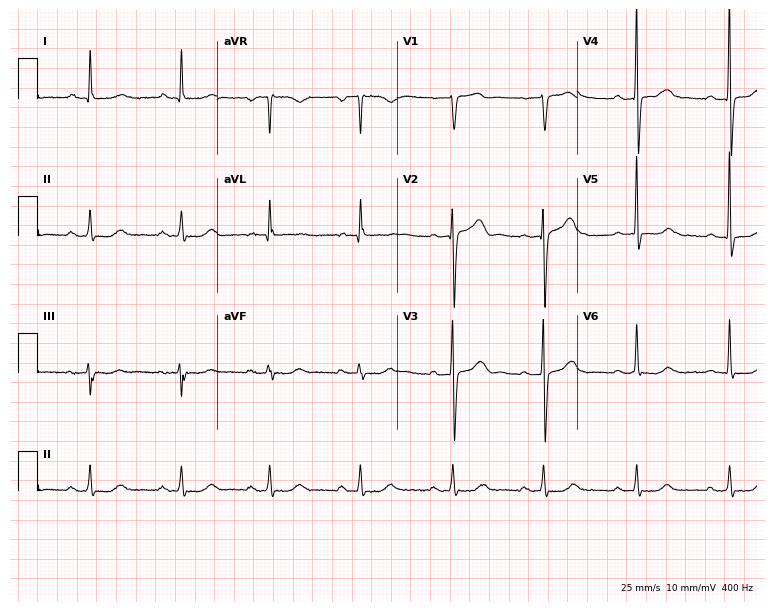
12-lead ECG (7.3-second recording at 400 Hz) from a 72-year-old male. Findings include first-degree AV block.